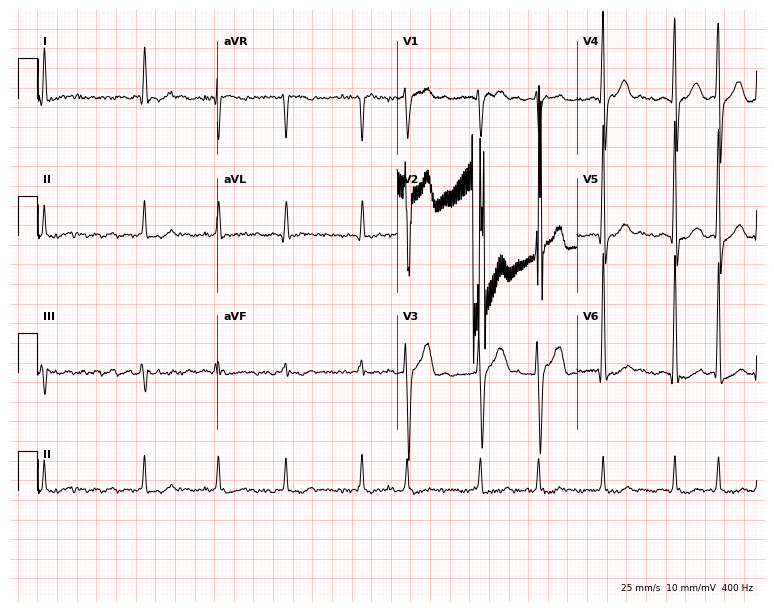
Resting 12-lead electrocardiogram. Patient: a male, 60 years old. The tracing shows atrial fibrillation (AF).